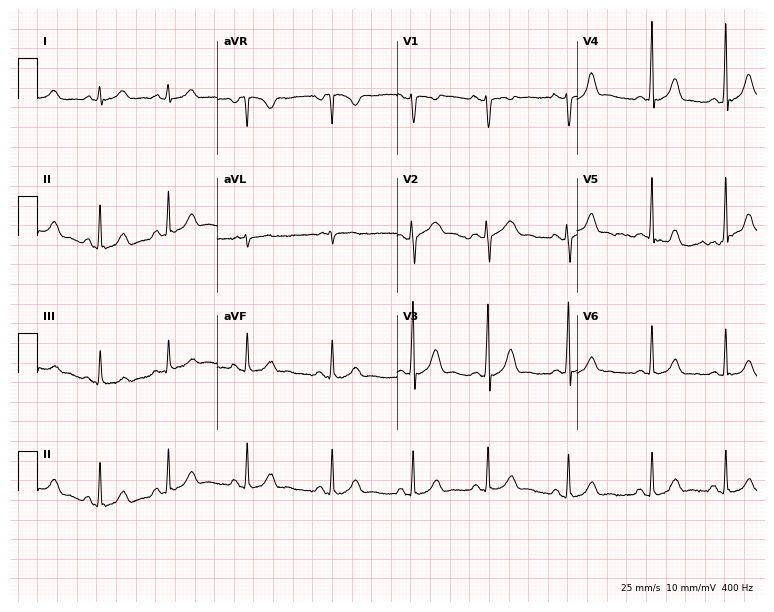
12-lead ECG from a 20-year-old woman. Recorded interpretation: within normal limits.